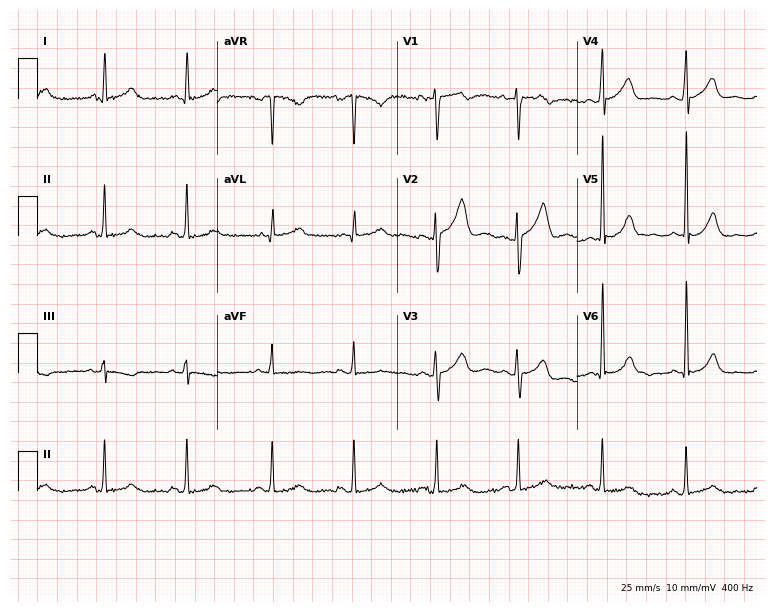
ECG — a man, 37 years old. Labelled as a normal ECG.